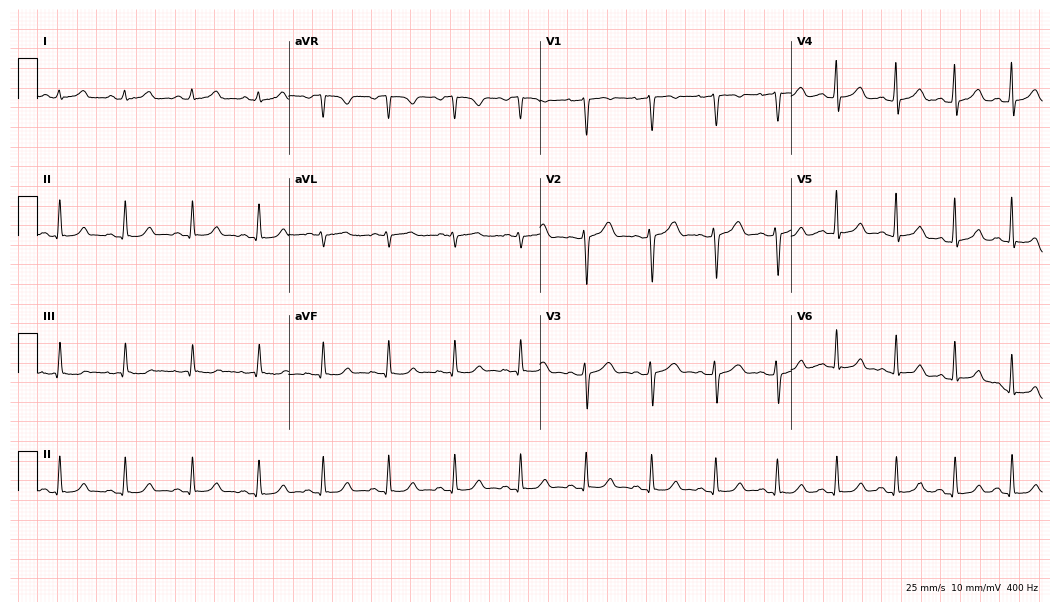
12-lead ECG (10.2-second recording at 400 Hz) from a 39-year-old female. Labelled as a normal ECG.